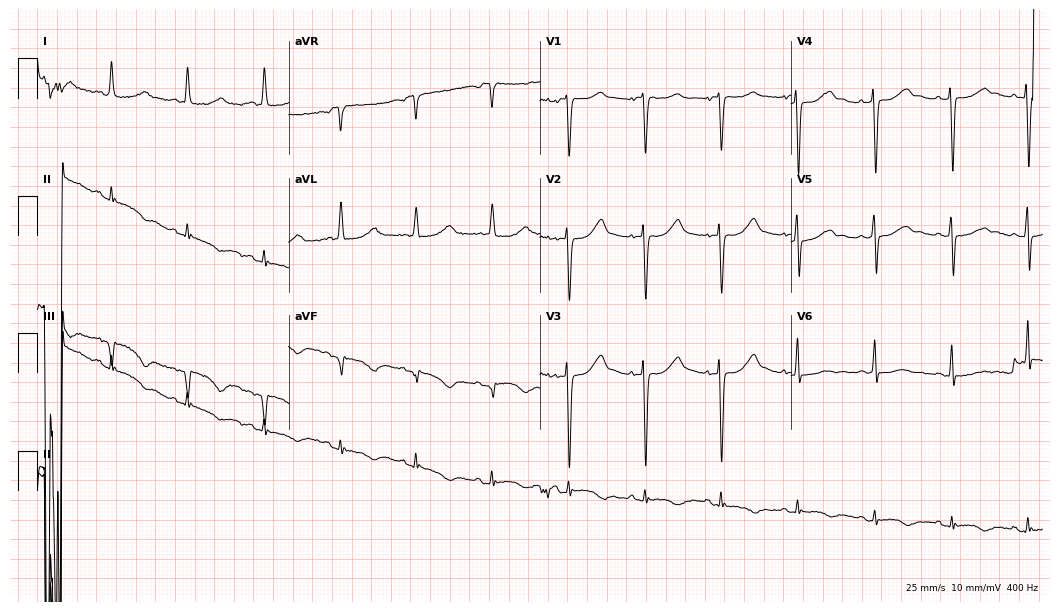
12-lead ECG (10.2-second recording at 400 Hz) from a woman, 78 years old. Screened for six findings — first-degree AV block, right bundle branch block, left bundle branch block, sinus bradycardia, atrial fibrillation, sinus tachycardia — none is recorded.